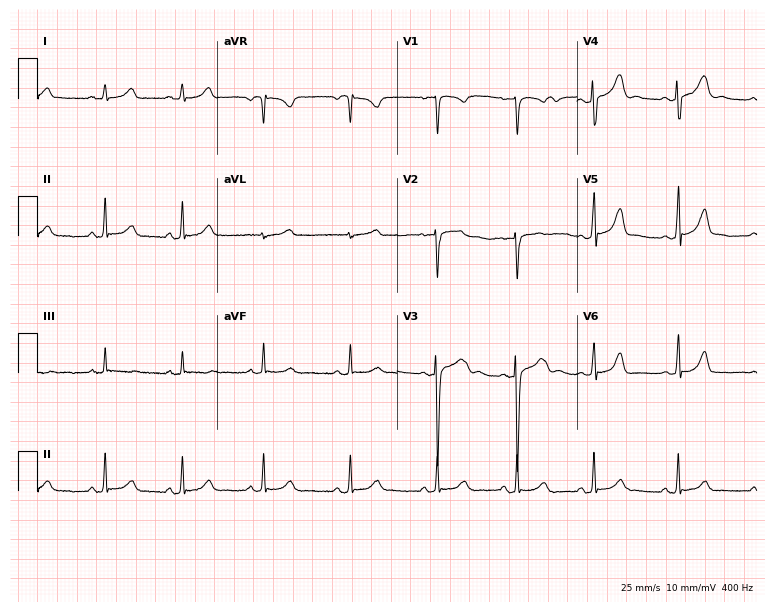
12-lead ECG (7.3-second recording at 400 Hz) from a woman, 20 years old. Labelled as a normal ECG.